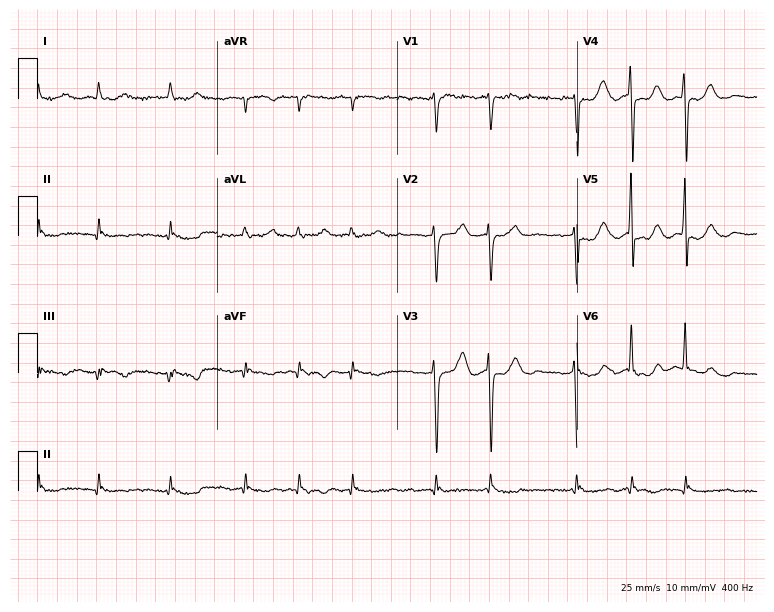
ECG — a male patient, 83 years old. Screened for six findings — first-degree AV block, right bundle branch block, left bundle branch block, sinus bradycardia, atrial fibrillation, sinus tachycardia — none is recorded.